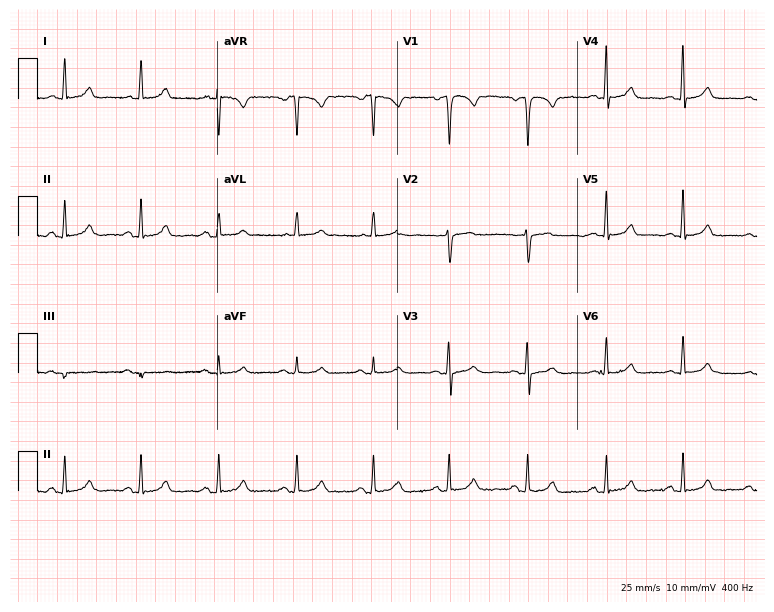
12-lead ECG from a woman, 50 years old. Recorded interpretation: within normal limits.